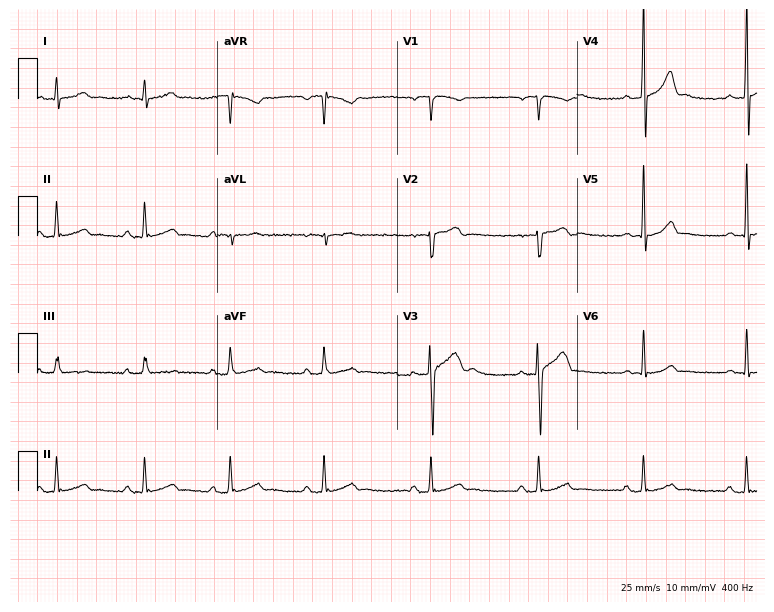
ECG — a 26-year-old man. Labelled as a normal ECG.